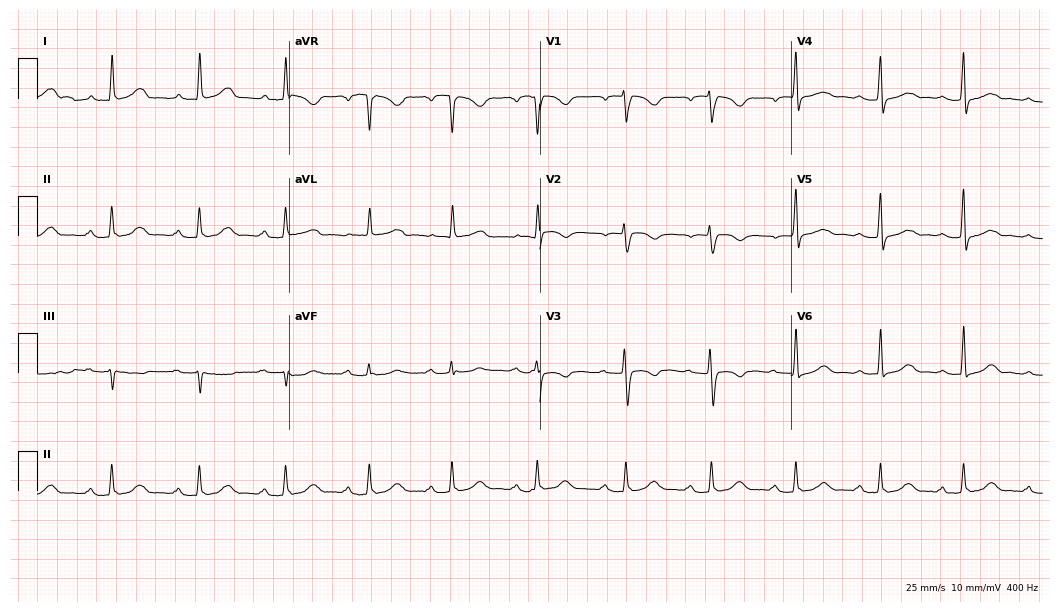
ECG — a 64-year-old female. Findings include first-degree AV block.